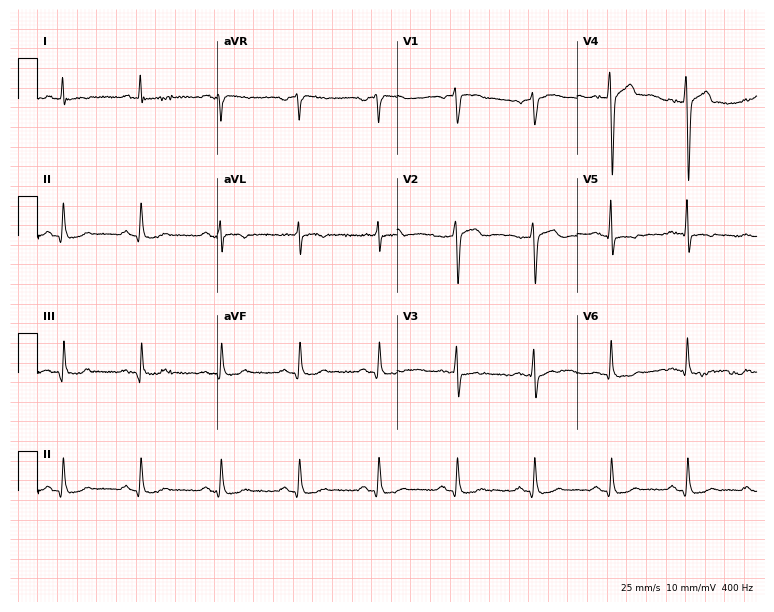
ECG — a 42-year-old man. Screened for six findings — first-degree AV block, right bundle branch block (RBBB), left bundle branch block (LBBB), sinus bradycardia, atrial fibrillation (AF), sinus tachycardia — none is recorded. Findings outside these six are not listed.